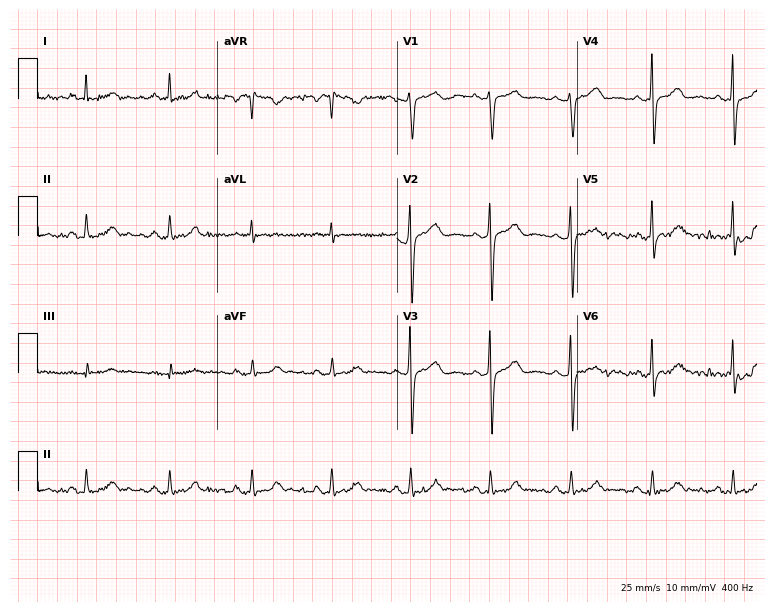
Standard 12-lead ECG recorded from a woman, 62 years old. None of these six findings is recorded: first-degree AV block, right bundle branch block, left bundle branch block, sinus bradycardia, atrial fibrillation, sinus tachycardia.